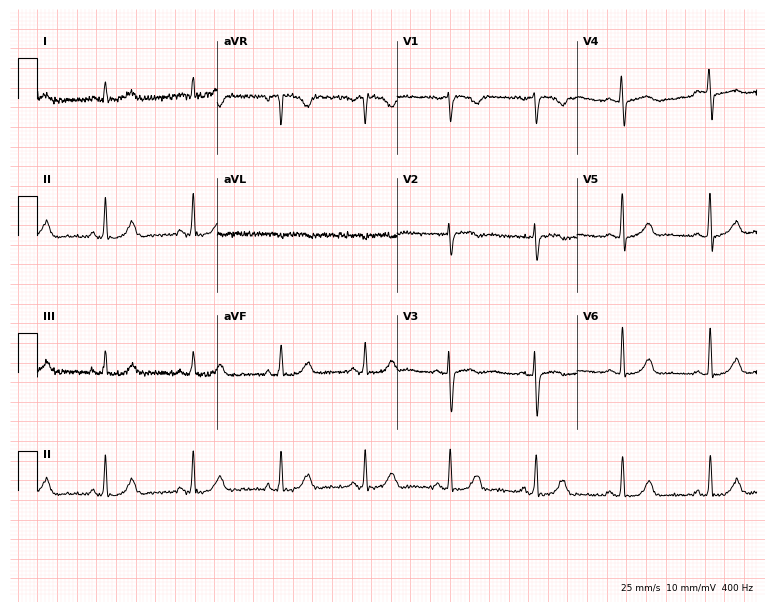
ECG (7.3-second recording at 400 Hz) — a female, 44 years old. Screened for six findings — first-degree AV block, right bundle branch block (RBBB), left bundle branch block (LBBB), sinus bradycardia, atrial fibrillation (AF), sinus tachycardia — none is recorded.